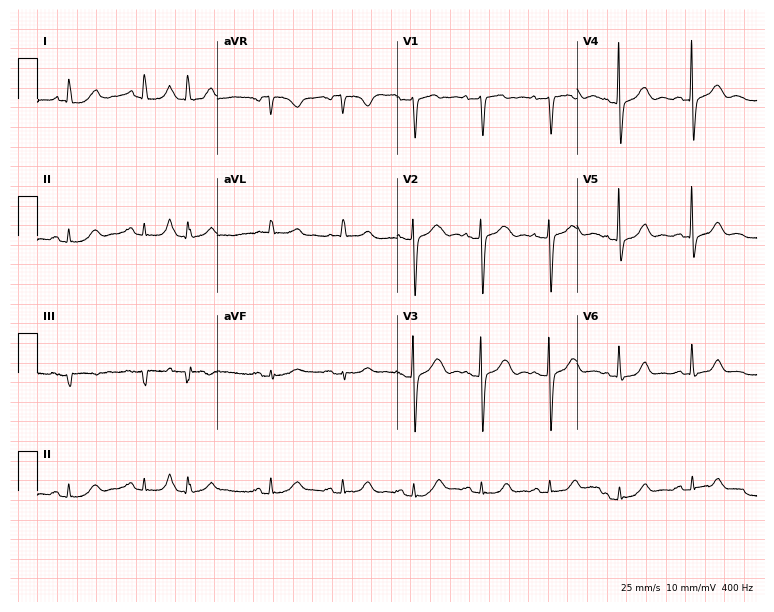
ECG (7.3-second recording at 400 Hz) — a 74-year-old woman. Labelled as a normal ECG.